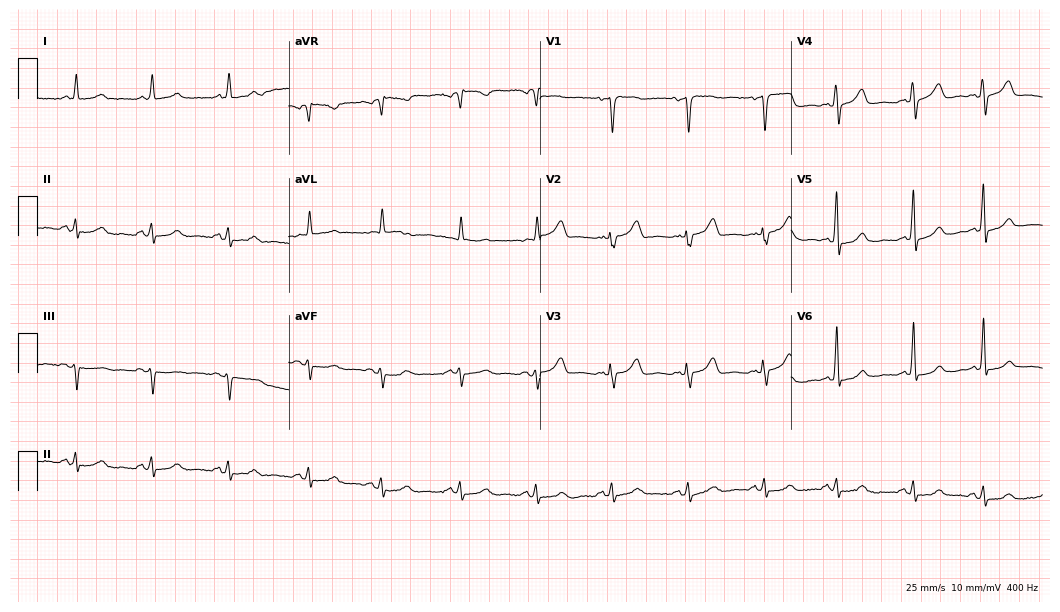
Electrocardiogram, an 82-year-old female. Overall reading on record: normal ECG.